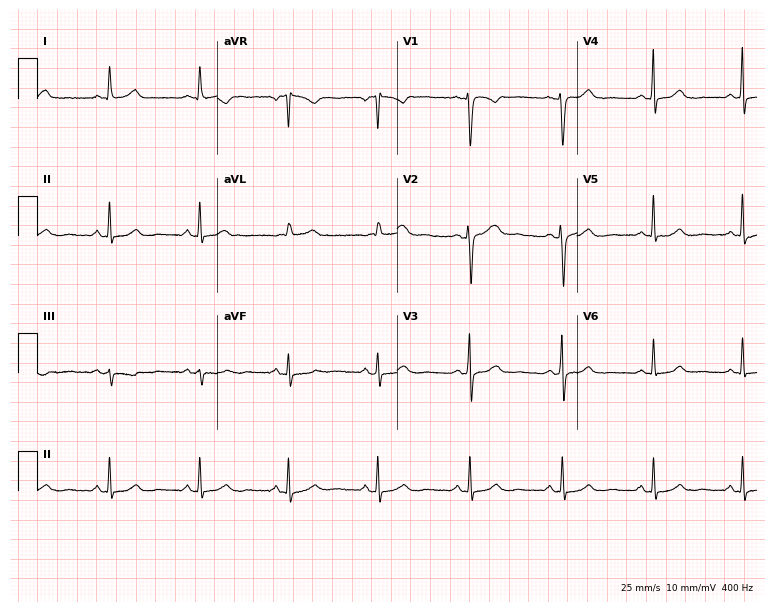
Standard 12-lead ECG recorded from a female patient, 51 years old (7.3-second recording at 400 Hz). Read as a normal ECG.